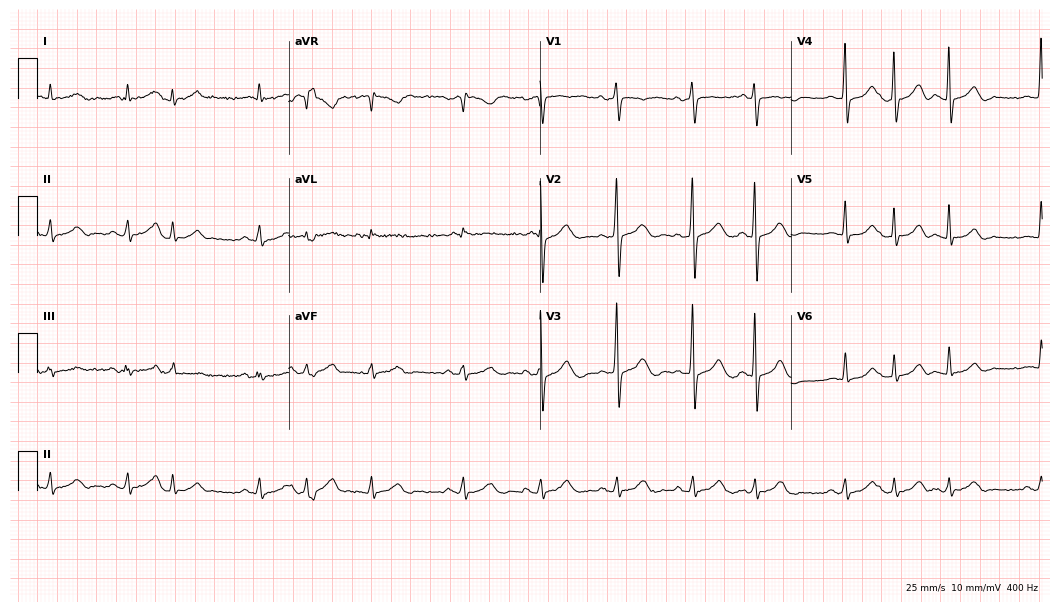
ECG — a 73-year-old male patient. Screened for six findings — first-degree AV block, right bundle branch block, left bundle branch block, sinus bradycardia, atrial fibrillation, sinus tachycardia — none is recorded. Findings outside these six are not listed.